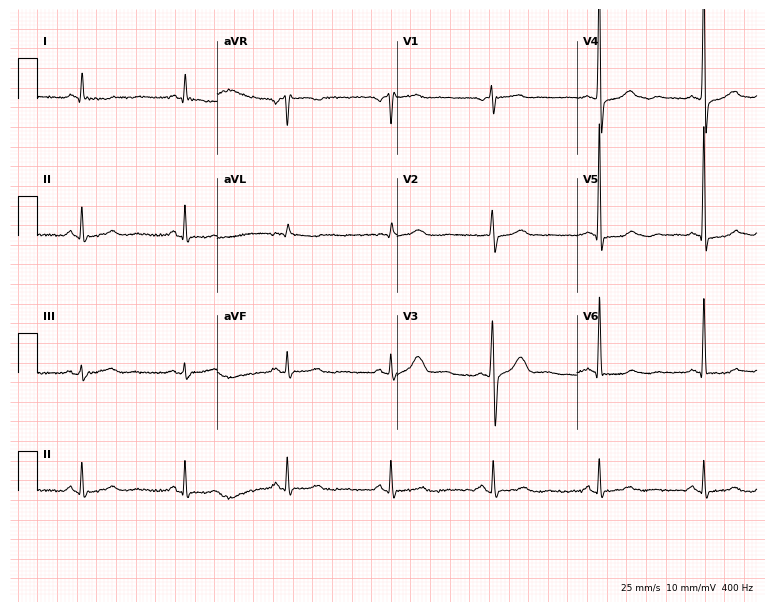
Resting 12-lead electrocardiogram (7.3-second recording at 400 Hz). Patient: a 77-year-old man. None of these six findings is recorded: first-degree AV block, right bundle branch block, left bundle branch block, sinus bradycardia, atrial fibrillation, sinus tachycardia. Findings outside these six are not listed.